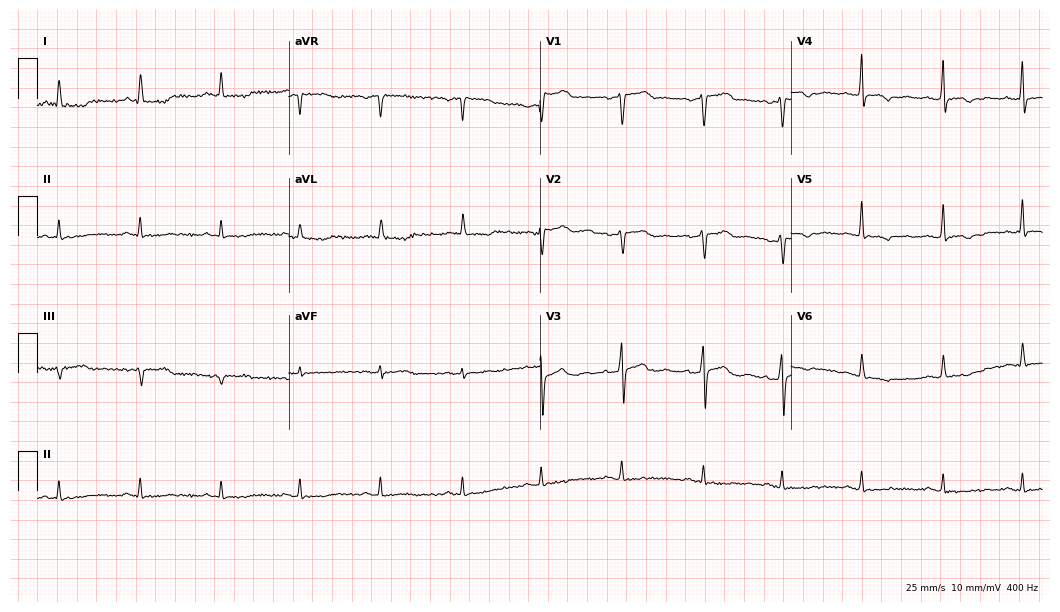
Resting 12-lead electrocardiogram (10.2-second recording at 400 Hz). Patient: a man, 38 years old. None of these six findings is recorded: first-degree AV block, right bundle branch block, left bundle branch block, sinus bradycardia, atrial fibrillation, sinus tachycardia. Findings outside these six are not listed.